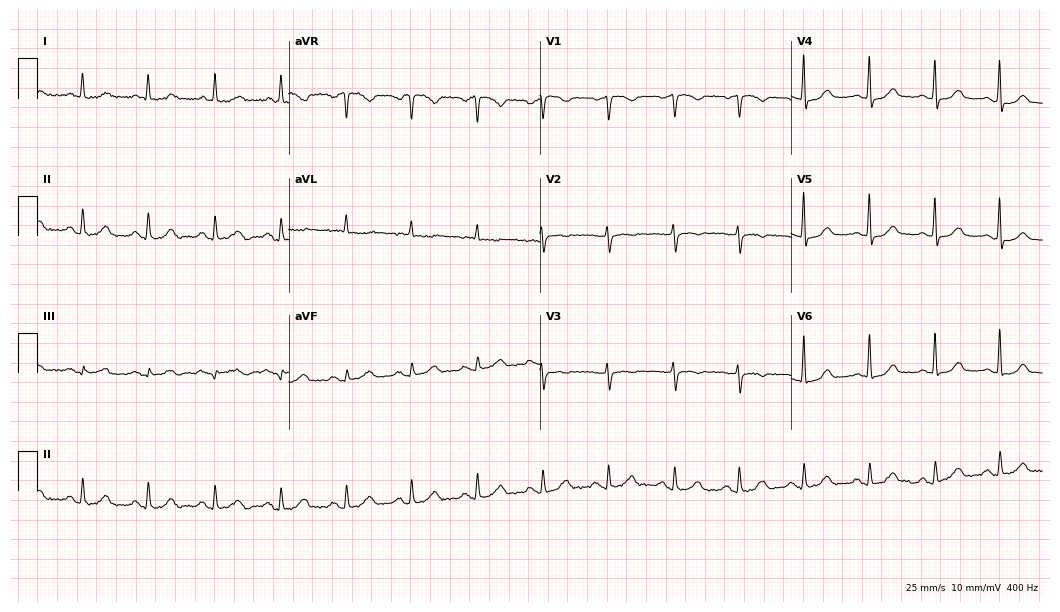
Resting 12-lead electrocardiogram (10.2-second recording at 400 Hz). Patient: a female, 64 years old. Read as a normal ECG.